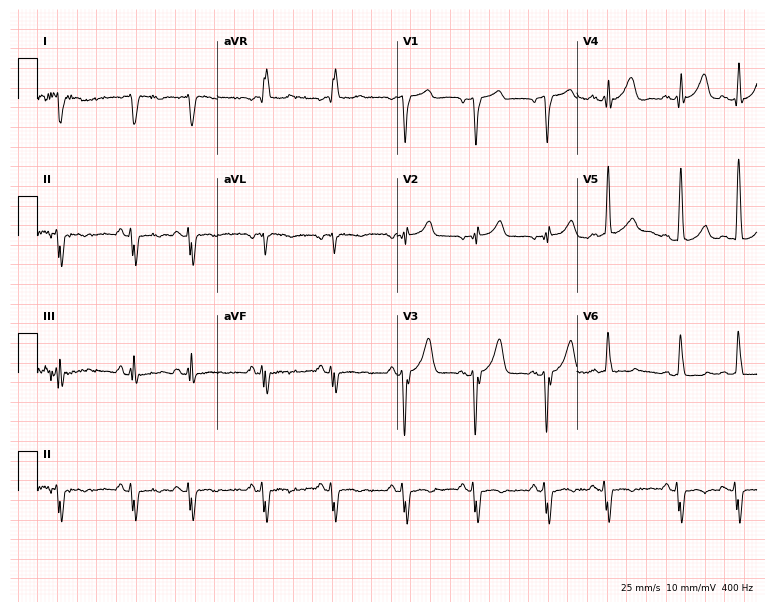
12-lead ECG from a male patient, 84 years old. No first-degree AV block, right bundle branch block, left bundle branch block, sinus bradycardia, atrial fibrillation or sinus tachycardia recorded for this tracing. Only these six findings were labelled.